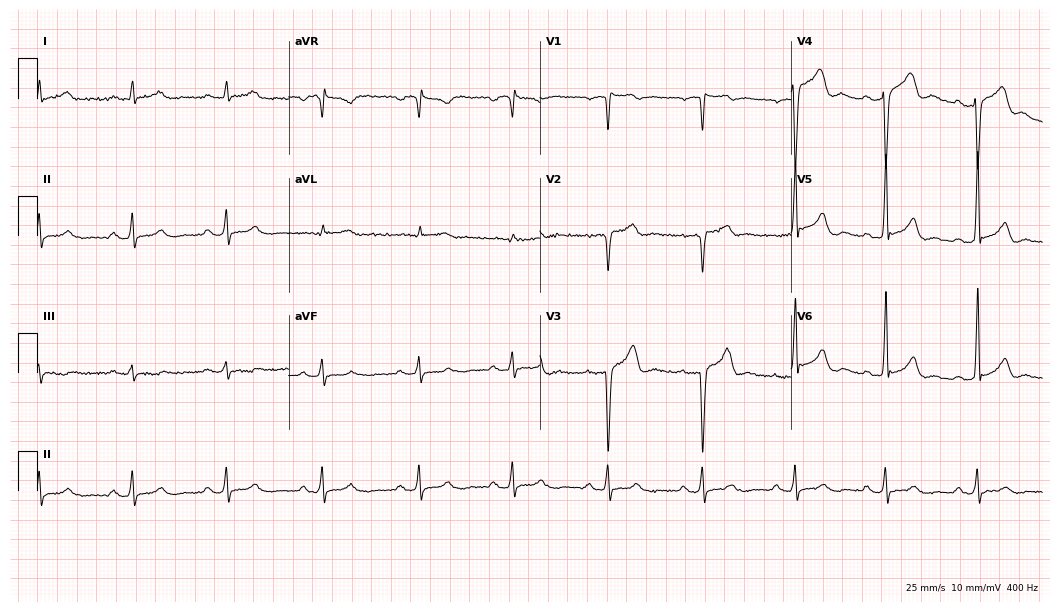
12-lead ECG from a man, 51 years old. Shows first-degree AV block.